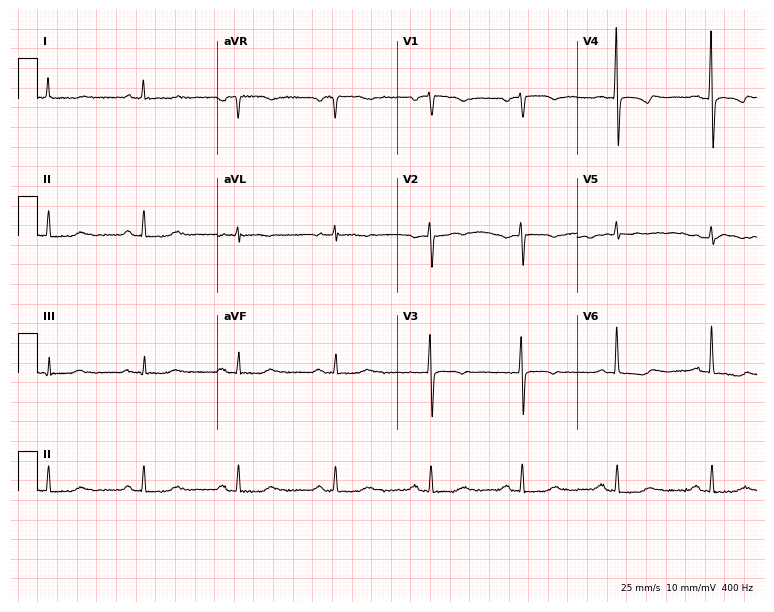
ECG — a 71-year-old woman. Screened for six findings — first-degree AV block, right bundle branch block (RBBB), left bundle branch block (LBBB), sinus bradycardia, atrial fibrillation (AF), sinus tachycardia — none is recorded.